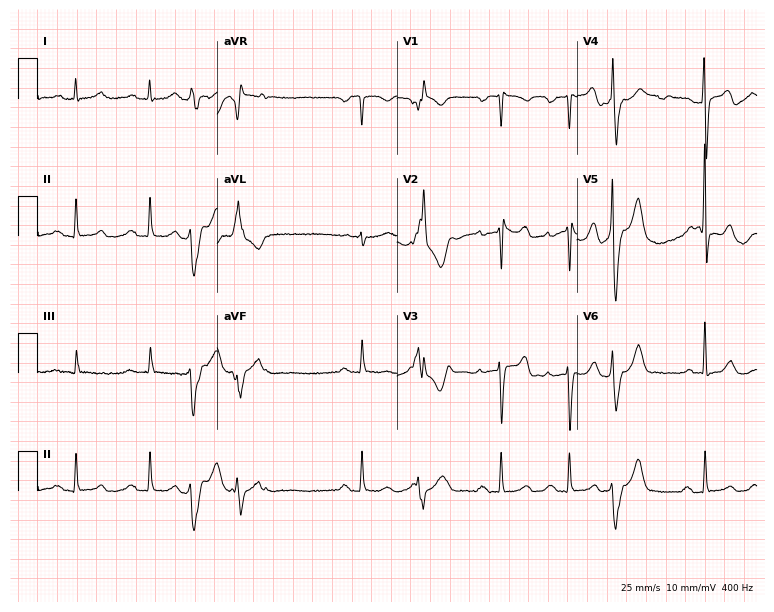
12-lead ECG from a 75-year-old male patient. Shows first-degree AV block.